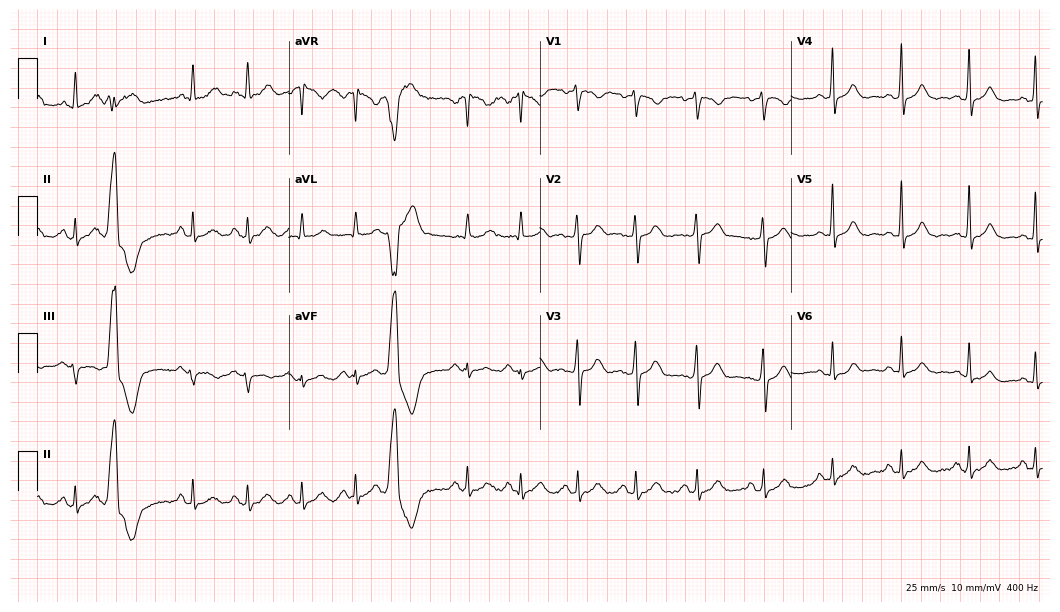
12-lead ECG from a female patient, 39 years old. Screened for six findings — first-degree AV block, right bundle branch block (RBBB), left bundle branch block (LBBB), sinus bradycardia, atrial fibrillation (AF), sinus tachycardia — none is recorded.